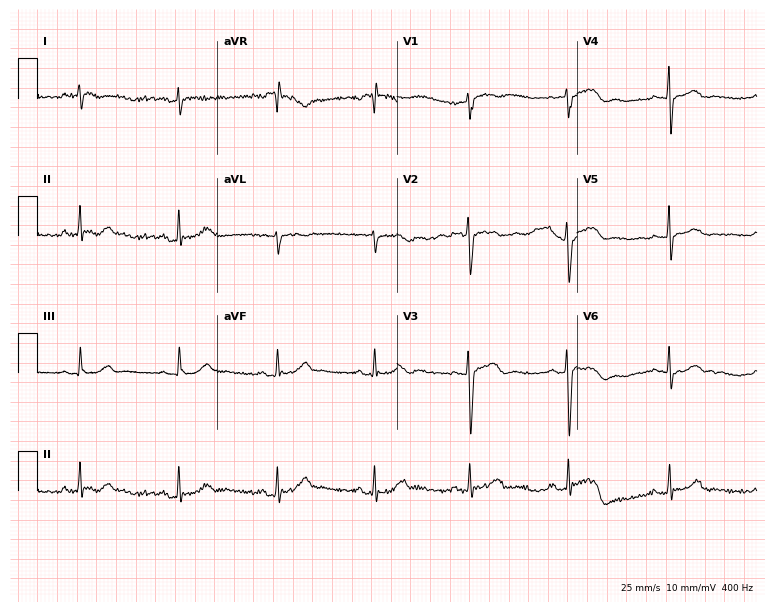
Resting 12-lead electrocardiogram. Patient: a 42-year-old man. None of these six findings is recorded: first-degree AV block, right bundle branch block, left bundle branch block, sinus bradycardia, atrial fibrillation, sinus tachycardia. Other findings, if any, are not listed.